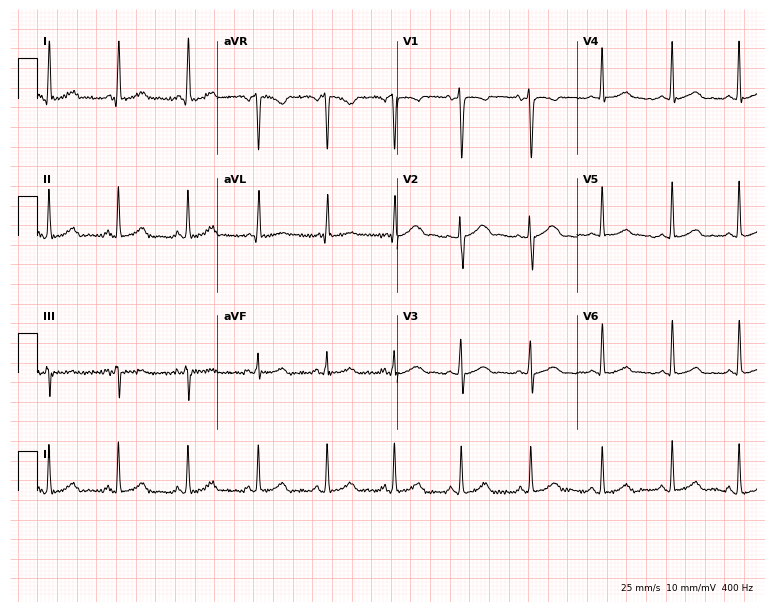
Electrocardiogram (7.3-second recording at 400 Hz), a 32-year-old woman. Overall reading on record: normal ECG.